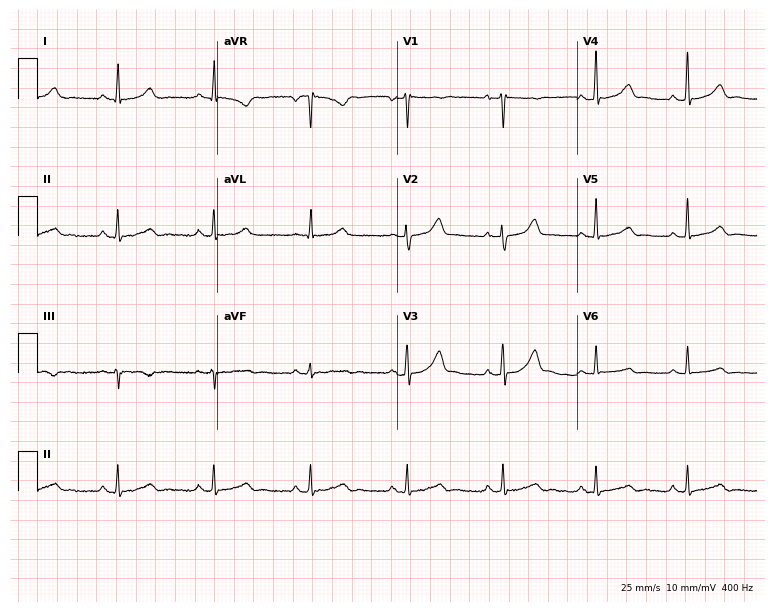
Resting 12-lead electrocardiogram. Patient: a 35-year-old female. Read as a normal ECG.